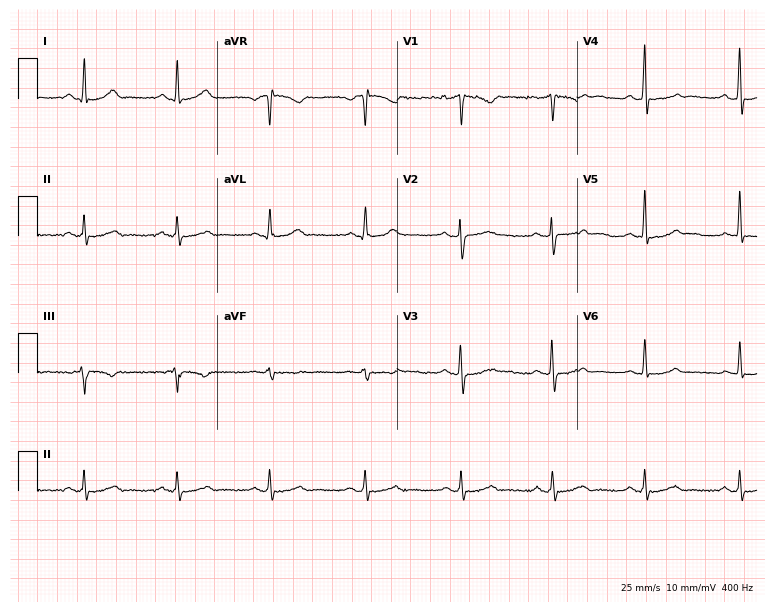
Electrocardiogram (7.3-second recording at 400 Hz), a female patient, 50 years old. Of the six screened findings (first-degree AV block, right bundle branch block (RBBB), left bundle branch block (LBBB), sinus bradycardia, atrial fibrillation (AF), sinus tachycardia), none is recorded. Only these six findings were labelled.